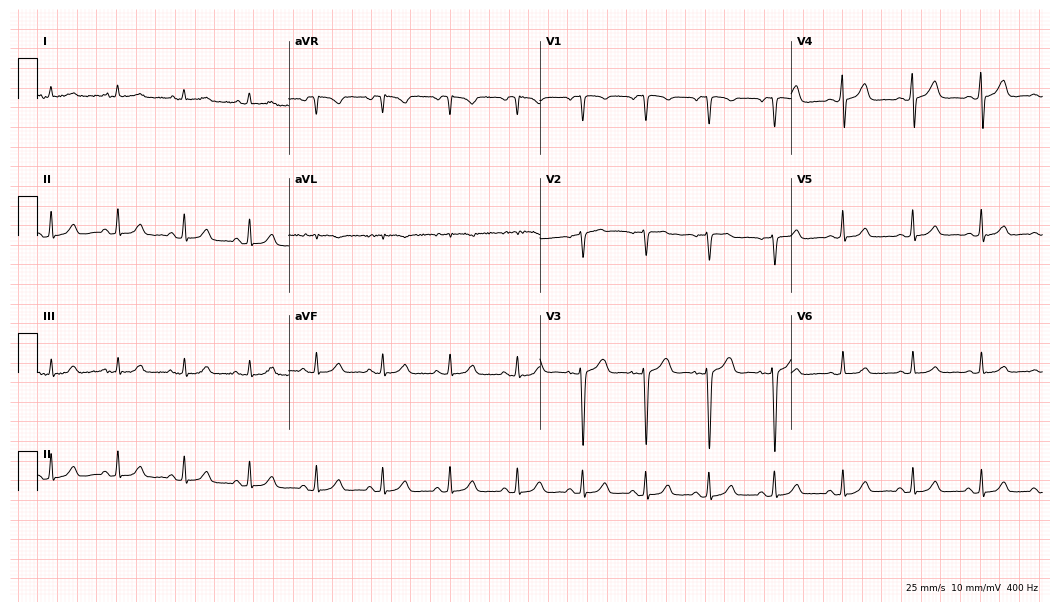
Electrocardiogram, a 24-year-old man. Overall reading on record: normal ECG.